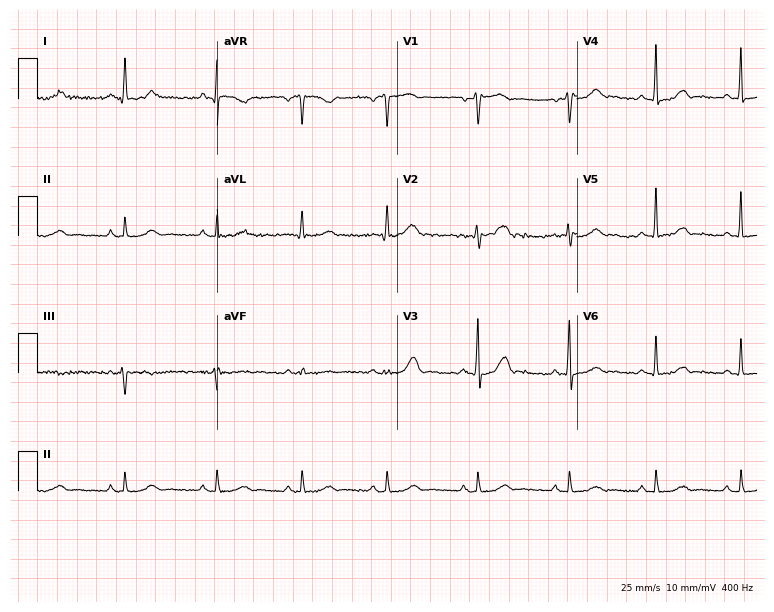
Standard 12-lead ECG recorded from a woman, 49 years old (7.3-second recording at 400 Hz). Read as a normal ECG.